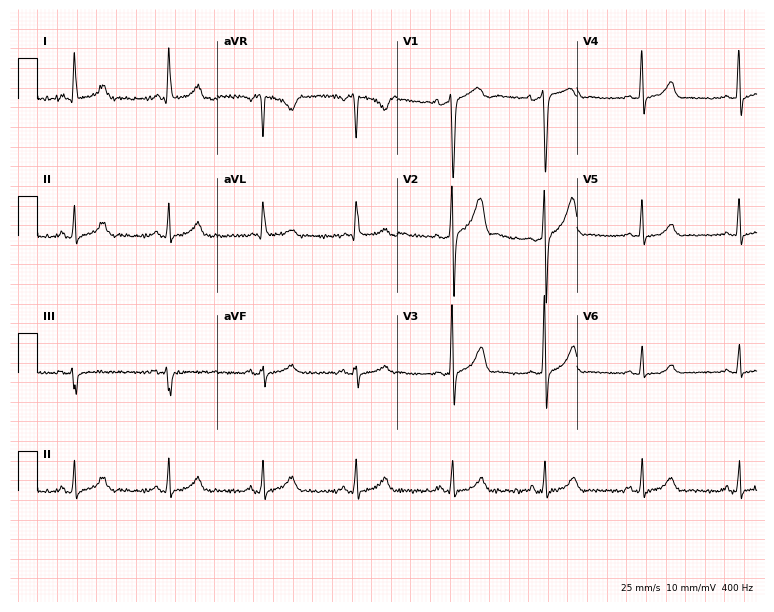
12-lead ECG from a male patient, 41 years old. Recorded interpretation: within normal limits.